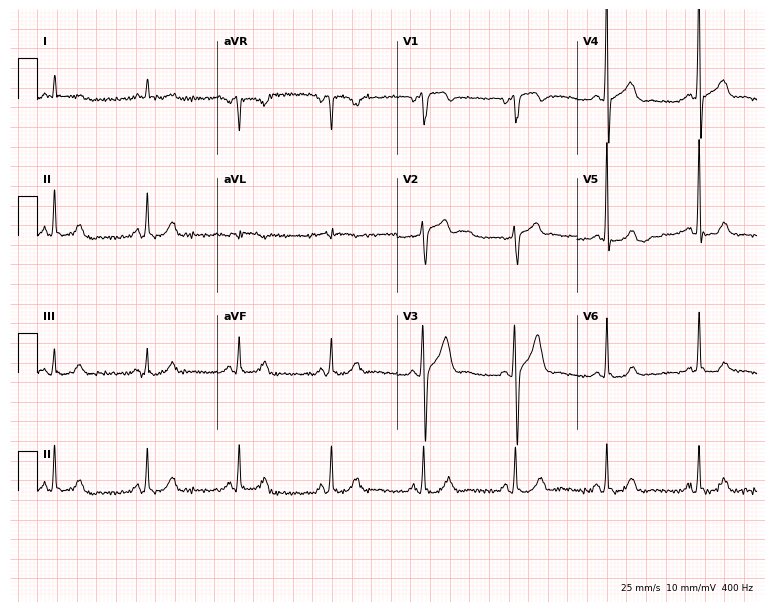
Resting 12-lead electrocardiogram. Patient: a male, 68 years old. None of these six findings is recorded: first-degree AV block, right bundle branch block, left bundle branch block, sinus bradycardia, atrial fibrillation, sinus tachycardia. Findings outside these six are not listed.